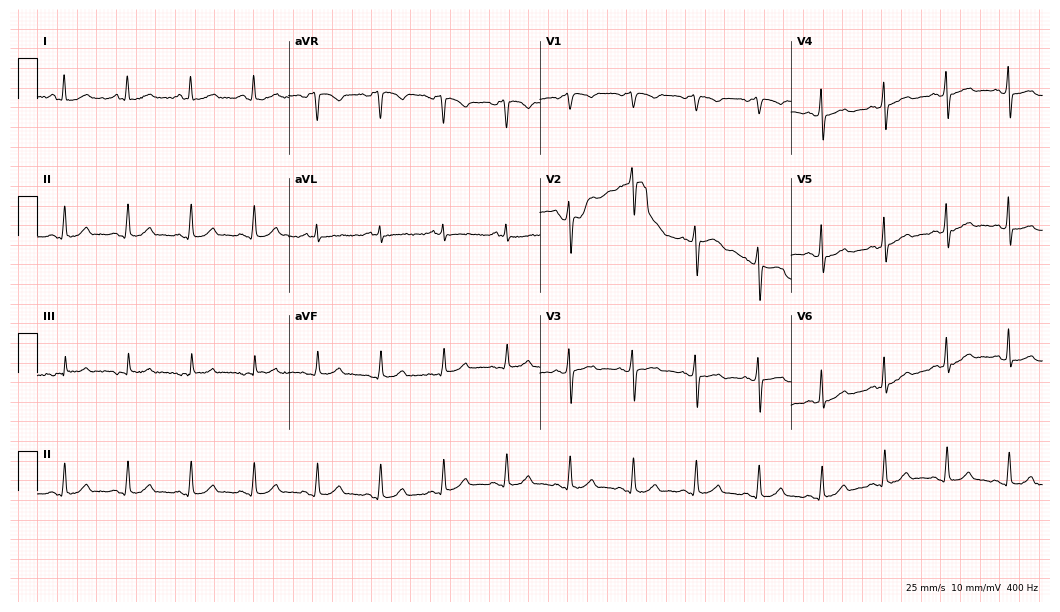
12-lead ECG from a 57-year-old male (10.2-second recording at 400 Hz). No first-degree AV block, right bundle branch block, left bundle branch block, sinus bradycardia, atrial fibrillation or sinus tachycardia recorded for this tracing. Other findings, if any, are not listed.